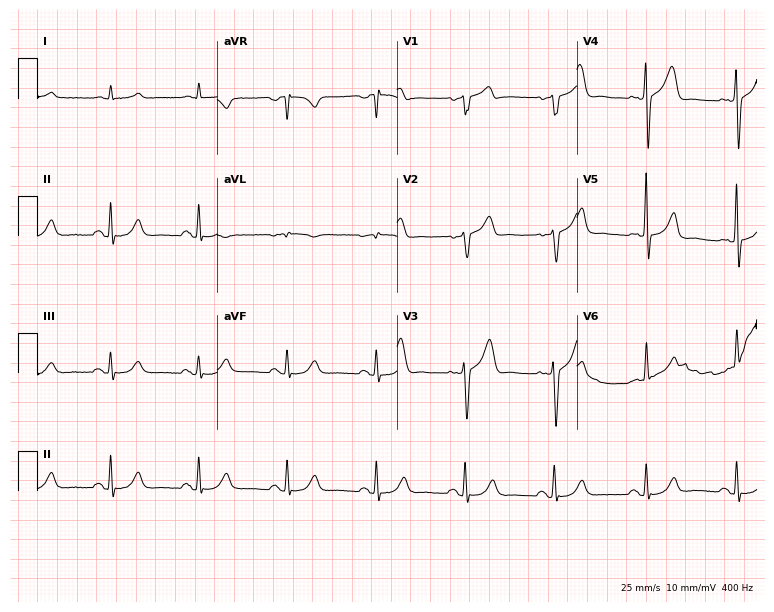
12-lead ECG from a 60-year-old man. Screened for six findings — first-degree AV block, right bundle branch block, left bundle branch block, sinus bradycardia, atrial fibrillation, sinus tachycardia — none is recorded. Only these six findings were labelled.